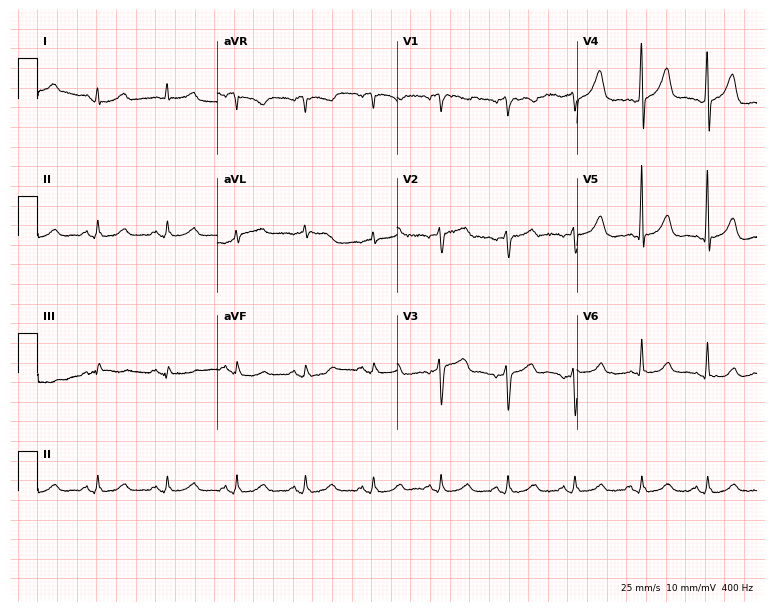
Electrocardiogram, a 62-year-old man. Of the six screened findings (first-degree AV block, right bundle branch block, left bundle branch block, sinus bradycardia, atrial fibrillation, sinus tachycardia), none is recorded. Other findings, if any, are not listed.